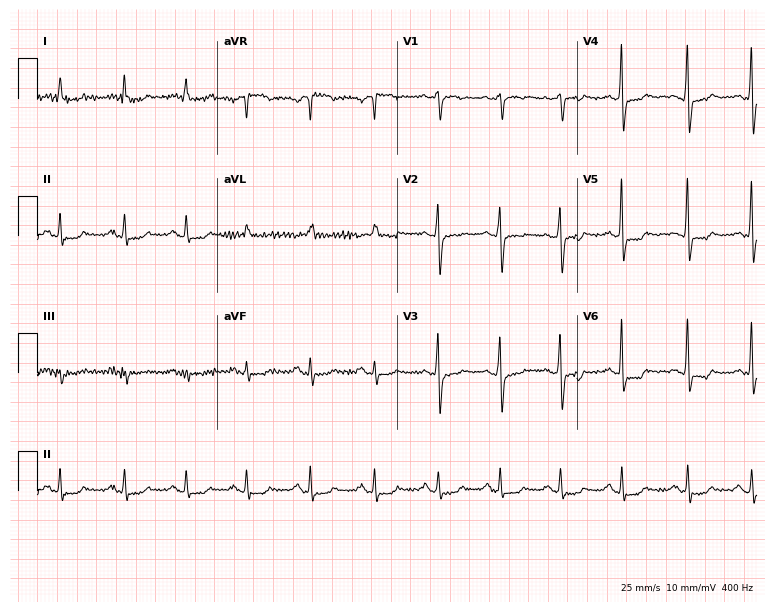
Electrocardiogram (7.3-second recording at 400 Hz), a 74-year-old female. Of the six screened findings (first-degree AV block, right bundle branch block, left bundle branch block, sinus bradycardia, atrial fibrillation, sinus tachycardia), none is recorded.